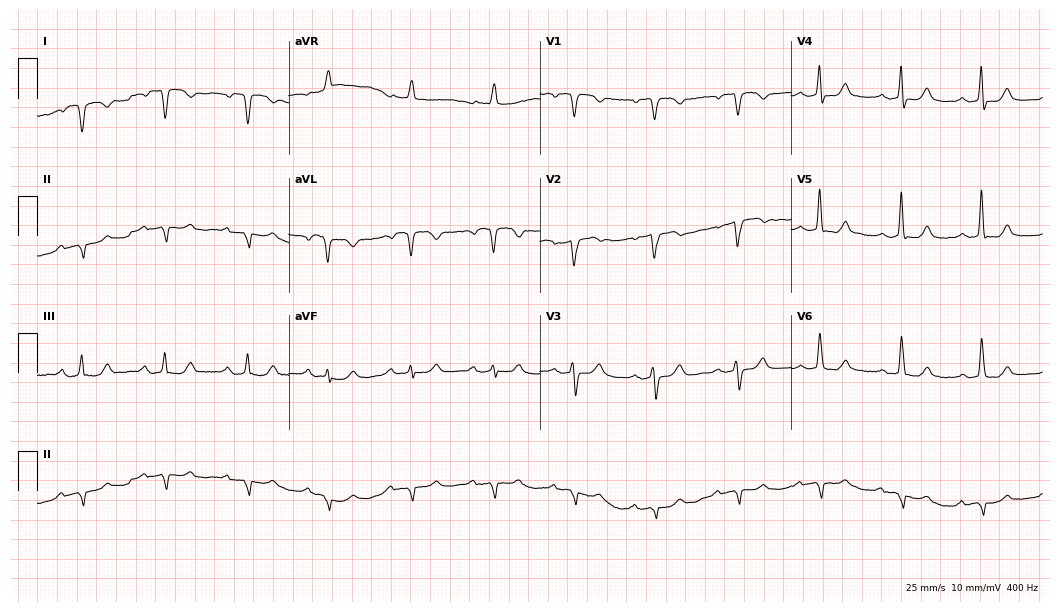
Electrocardiogram (10.2-second recording at 400 Hz), a 62-year-old female patient. Of the six screened findings (first-degree AV block, right bundle branch block, left bundle branch block, sinus bradycardia, atrial fibrillation, sinus tachycardia), none is recorded.